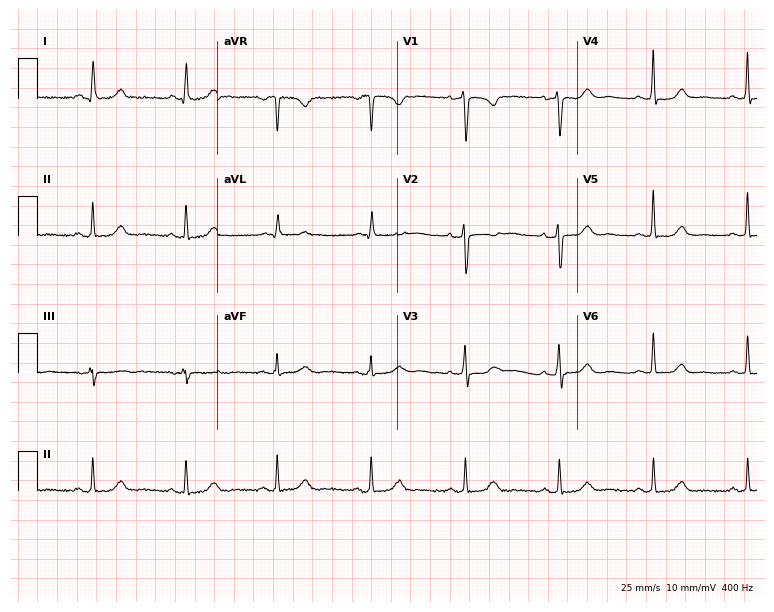
ECG — a woman, 78 years old. Labelled as a normal ECG.